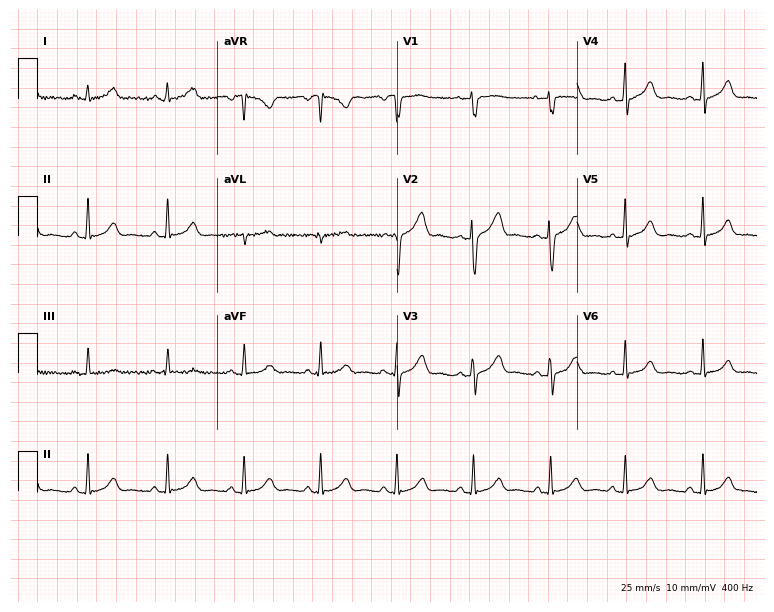
Resting 12-lead electrocardiogram. Patient: a female, 37 years old. Read as a normal ECG.